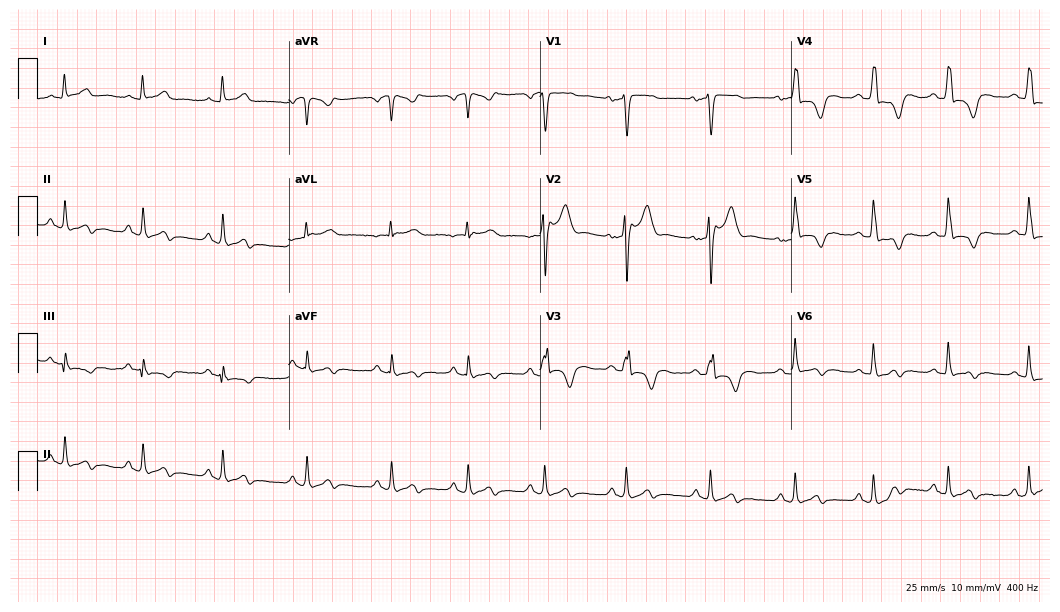
Electrocardiogram (10.2-second recording at 400 Hz), a male patient, 29 years old. Of the six screened findings (first-degree AV block, right bundle branch block, left bundle branch block, sinus bradycardia, atrial fibrillation, sinus tachycardia), none is recorded. Other findings, if any, are not listed.